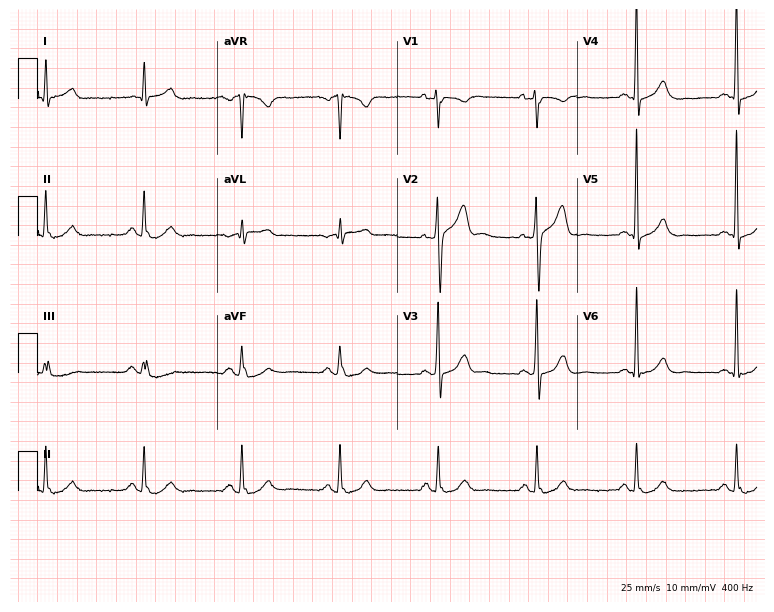
ECG (7.3-second recording at 400 Hz) — a 70-year-old male. Screened for six findings — first-degree AV block, right bundle branch block, left bundle branch block, sinus bradycardia, atrial fibrillation, sinus tachycardia — none is recorded.